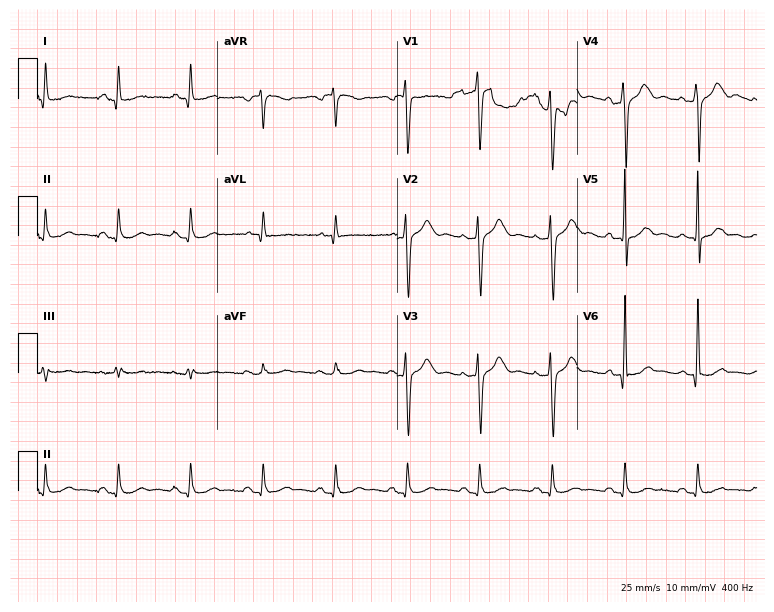
ECG — a 65-year-old male patient. Labelled as a normal ECG.